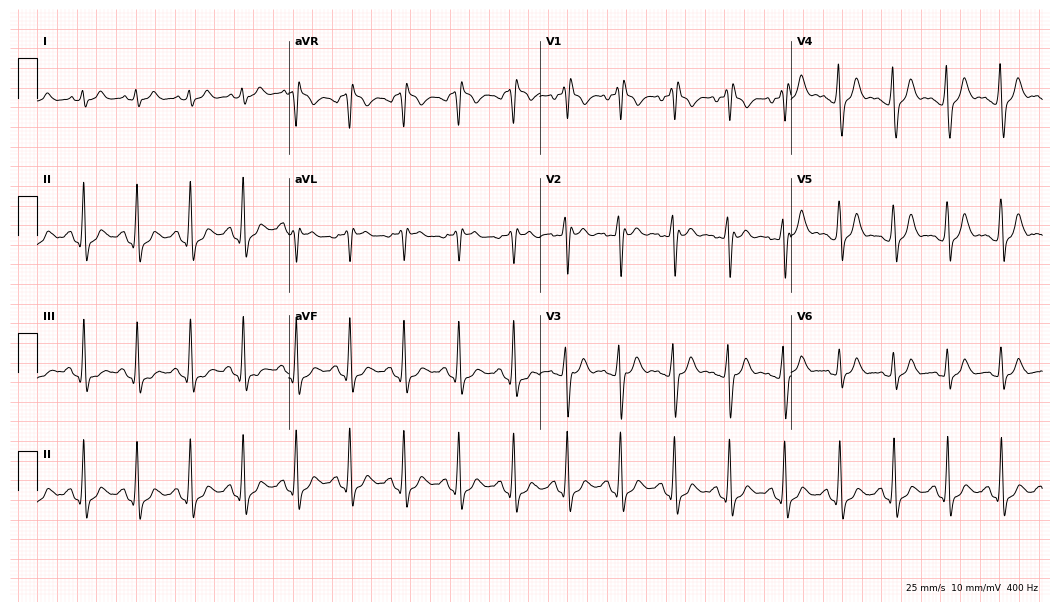
ECG — a male, 21 years old. Screened for six findings — first-degree AV block, right bundle branch block (RBBB), left bundle branch block (LBBB), sinus bradycardia, atrial fibrillation (AF), sinus tachycardia — none is recorded.